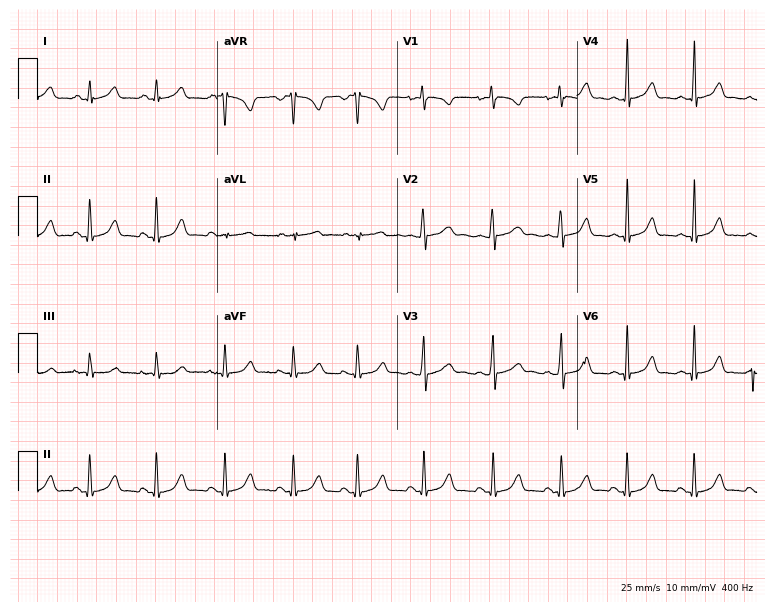
12-lead ECG from a female, 18 years old. Labelled as a normal ECG.